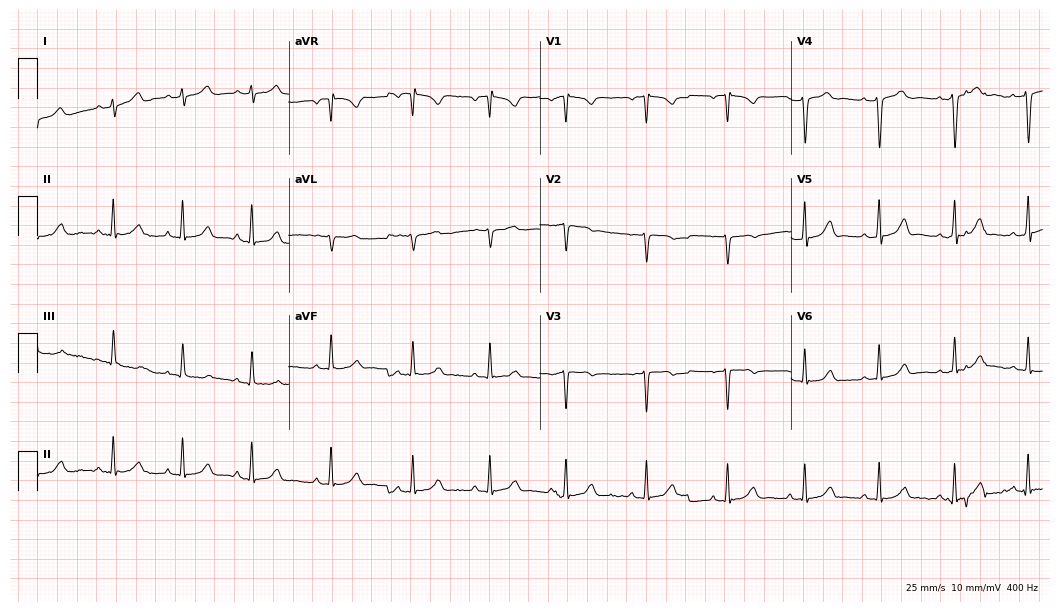
Electrocardiogram, a 19-year-old female. Overall reading on record: normal ECG.